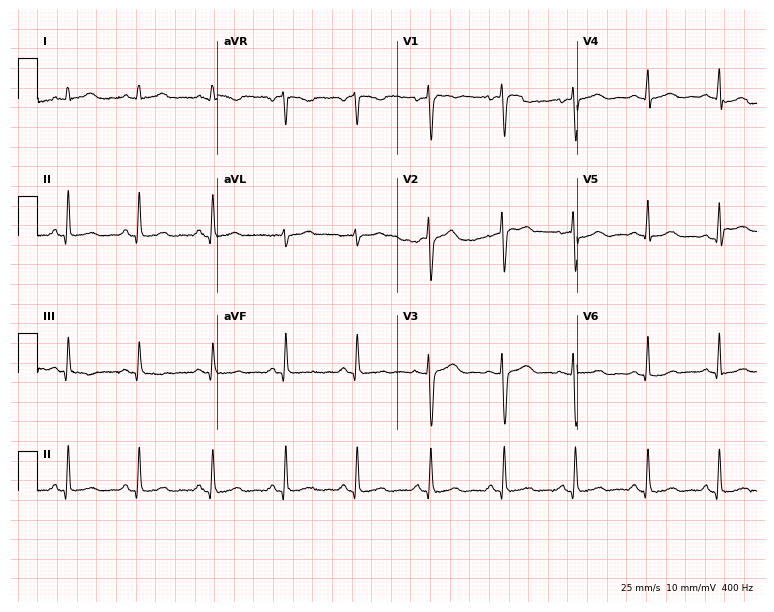
Electrocardiogram (7.3-second recording at 400 Hz), a female patient, 38 years old. Overall reading on record: normal ECG.